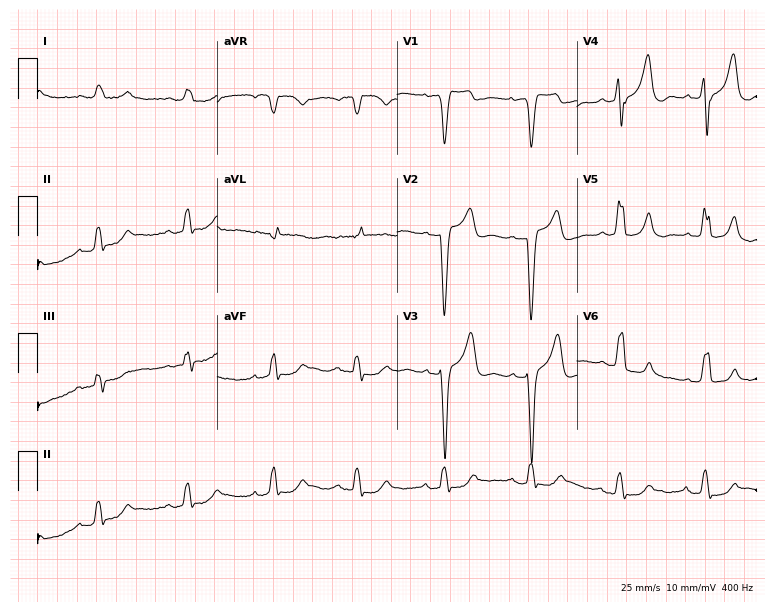
Electrocardiogram, a female patient, 83 years old. Interpretation includes left bundle branch block (LBBB).